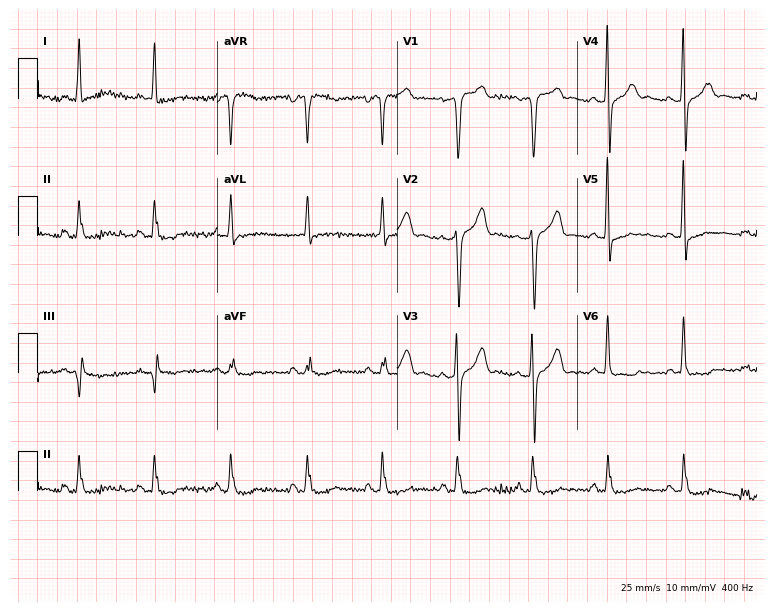
ECG — a 68-year-old male. Screened for six findings — first-degree AV block, right bundle branch block, left bundle branch block, sinus bradycardia, atrial fibrillation, sinus tachycardia — none is recorded.